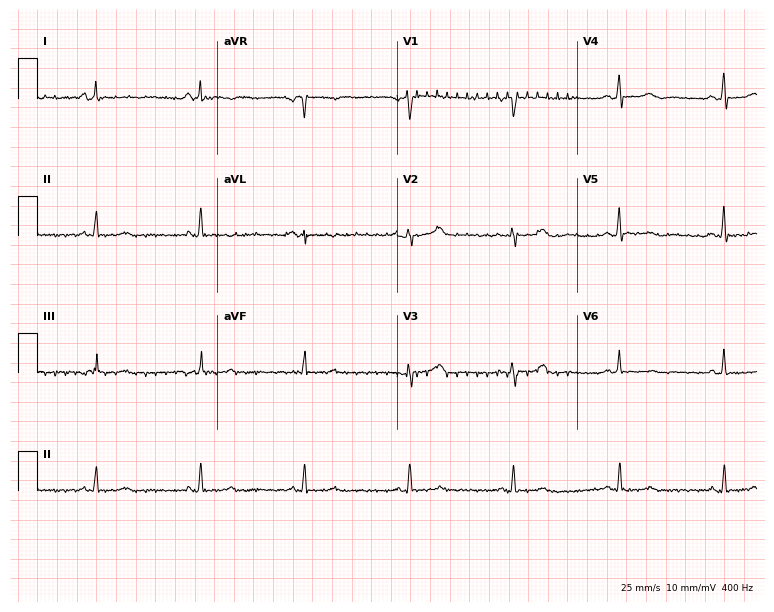
ECG (7.3-second recording at 400 Hz) — a 61-year-old female patient. Screened for six findings — first-degree AV block, right bundle branch block (RBBB), left bundle branch block (LBBB), sinus bradycardia, atrial fibrillation (AF), sinus tachycardia — none is recorded.